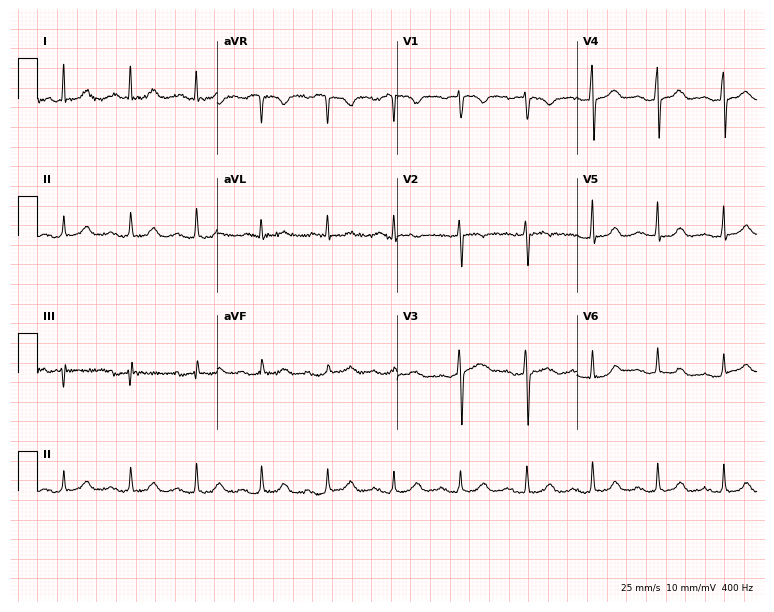
ECG — a 68-year-old woman. Screened for six findings — first-degree AV block, right bundle branch block (RBBB), left bundle branch block (LBBB), sinus bradycardia, atrial fibrillation (AF), sinus tachycardia — none is recorded. Other findings, if any, are not listed.